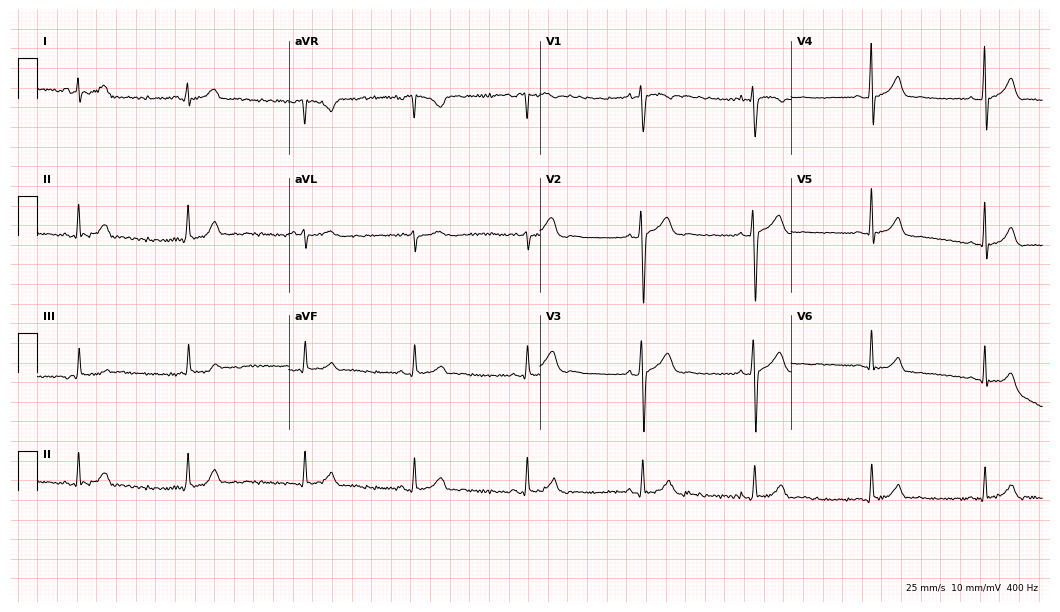
Resting 12-lead electrocardiogram (10.2-second recording at 400 Hz). Patient: a 33-year-old woman. Read as a normal ECG.